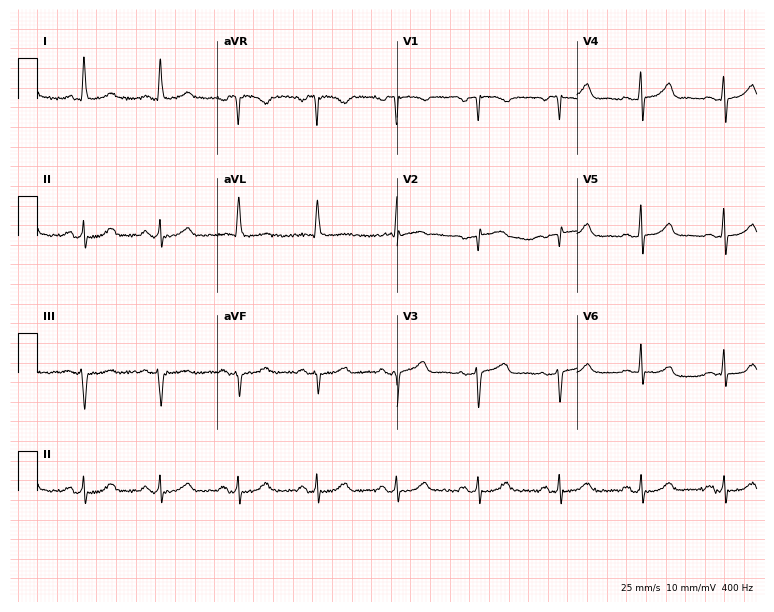
Standard 12-lead ECG recorded from a 69-year-old woman. Read as a normal ECG.